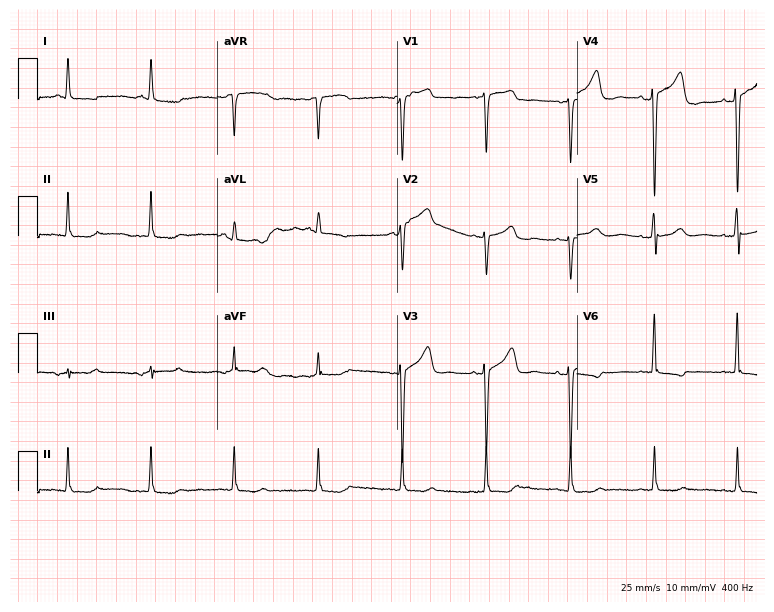
ECG (7.3-second recording at 400 Hz) — a female, 48 years old. Screened for six findings — first-degree AV block, right bundle branch block, left bundle branch block, sinus bradycardia, atrial fibrillation, sinus tachycardia — none is recorded. Other findings, if any, are not listed.